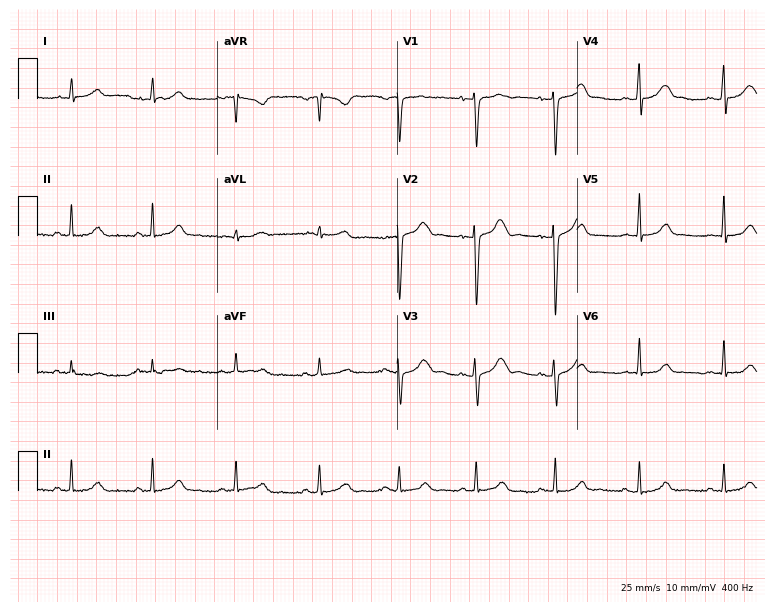
Resting 12-lead electrocardiogram (7.3-second recording at 400 Hz). Patient: a 39-year-old woman. Read as a normal ECG.